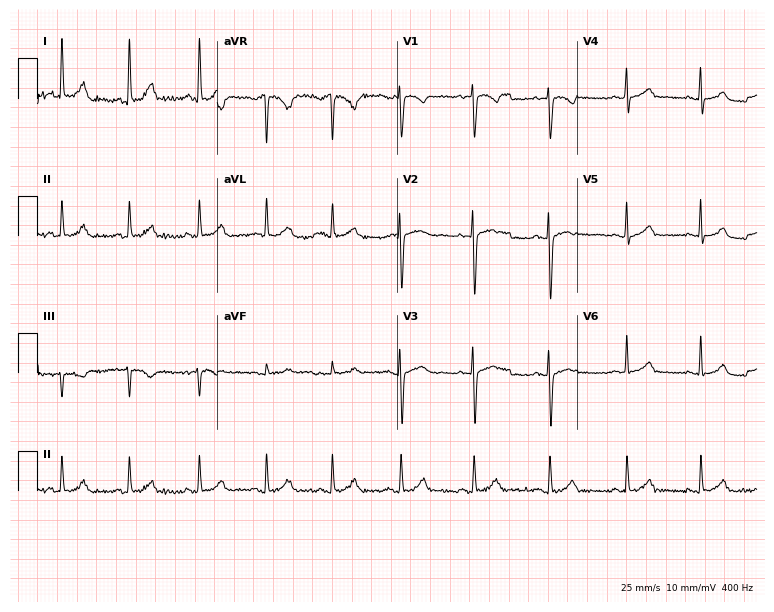
Resting 12-lead electrocardiogram (7.3-second recording at 400 Hz). Patient: a 33-year-old female. Read as a normal ECG.